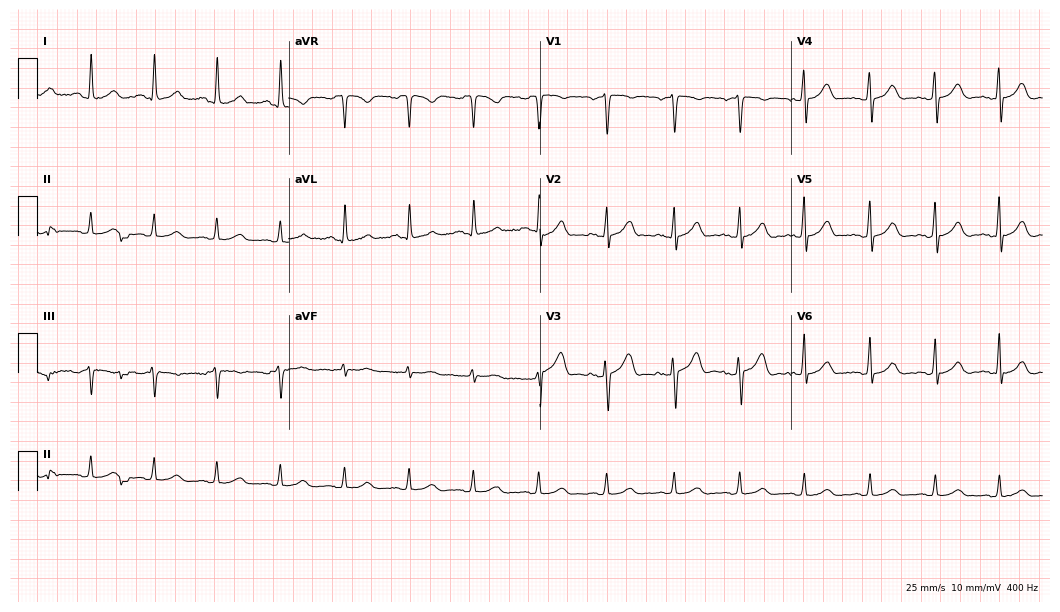
12-lead ECG from a female, 44 years old (10.2-second recording at 400 Hz). Recorded interpretation: within normal limits.